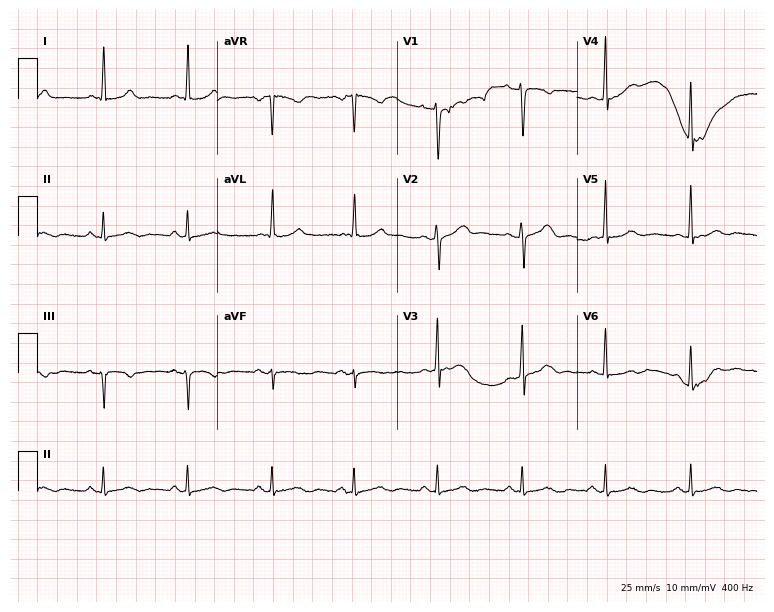
Electrocardiogram, a 44-year-old male patient. Overall reading on record: normal ECG.